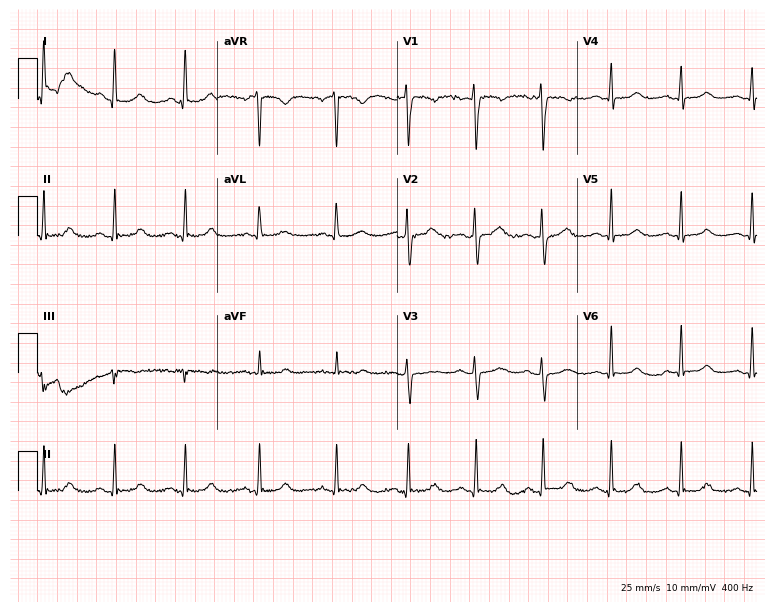
Resting 12-lead electrocardiogram (7.3-second recording at 400 Hz). Patient: a female, 44 years old. None of these six findings is recorded: first-degree AV block, right bundle branch block, left bundle branch block, sinus bradycardia, atrial fibrillation, sinus tachycardia. Other findings, if any, are not listed.